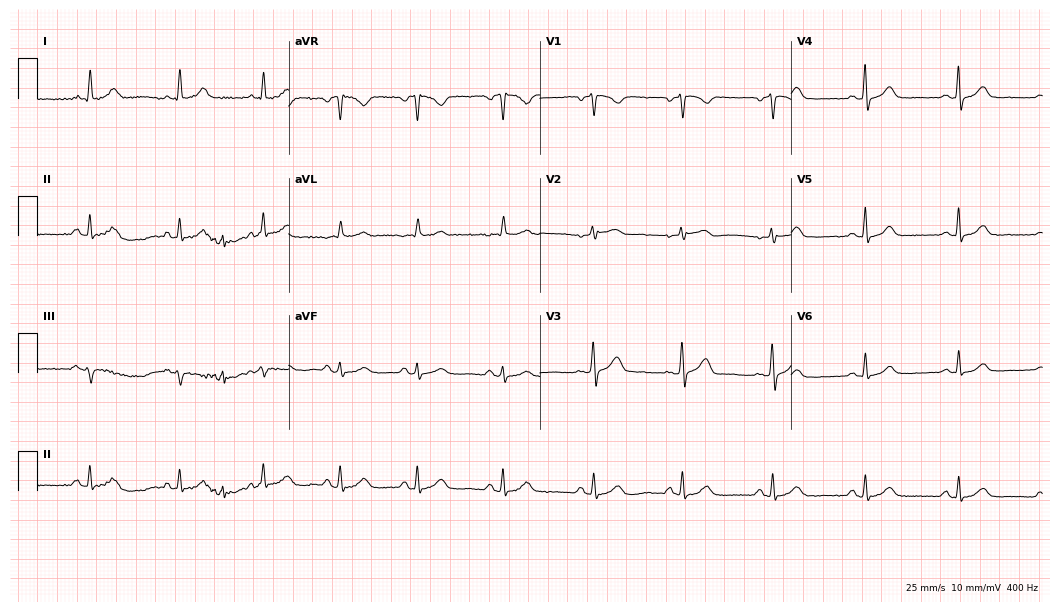
Standard 12-lead ECG recorded from a female, 58 years old (10.2-second recording at 400 Hz). Read as a normal ECG.